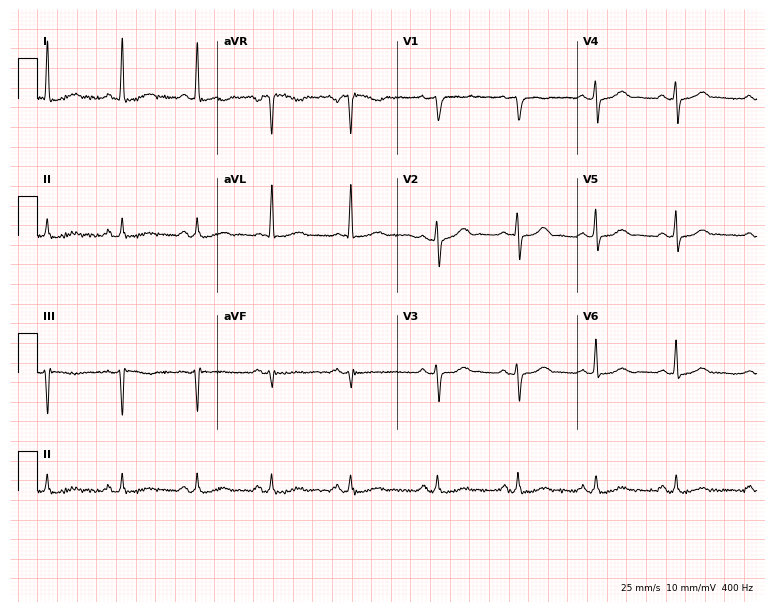
Resting 12-lead electrocardiogram (7.3-second recording at 400 Hz). Patient: a 70-year-old female. Read as a normal ECG.